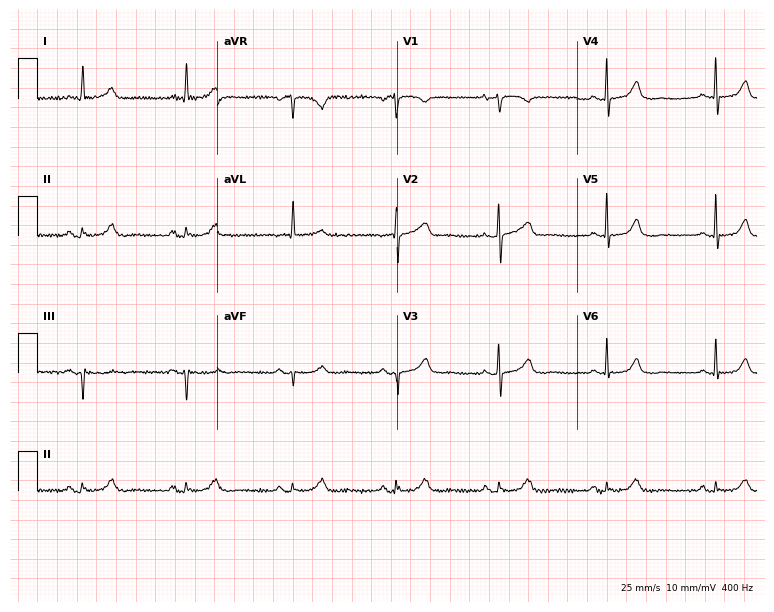
12-lead ECG from a 73-year-old female (7.3-second recording at 400 Hz). No first-degree AV block, right bundle branch block, left bundle branch block, sinus bradycardia, atrial fibrillation or sinus tachycardia recorded for this tracing.